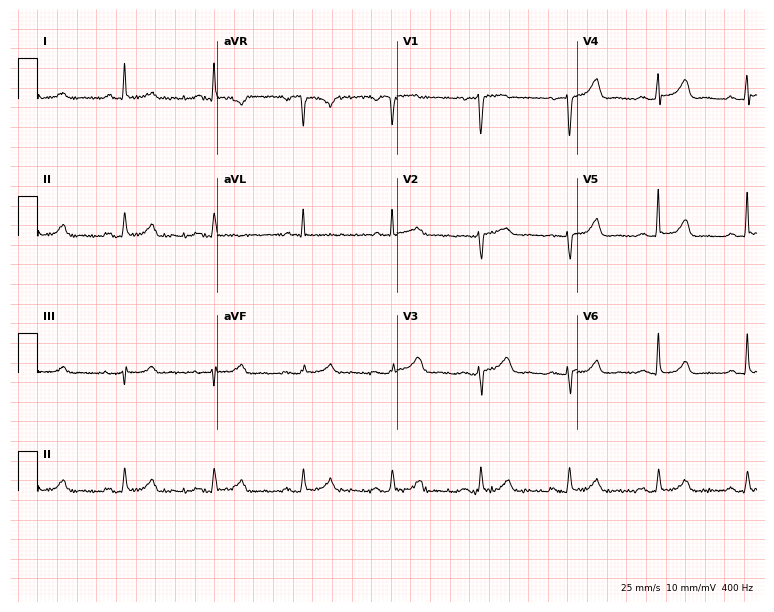
Standard 12-lead ECG recorded from a female patient, 56 years old. Read as a normal ECG.